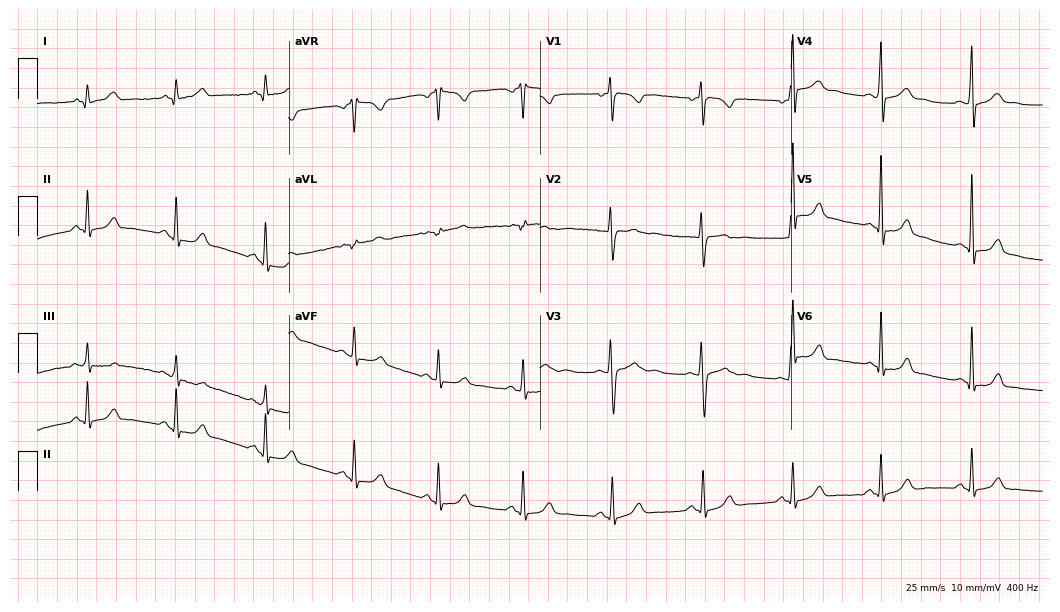
ECG — a woman, 23 years old. Screened for six findings — first-degree AV block, right bundle branch block, left bundle branch block, sinus bradycardia, atrial fibrillation, sinus tachycardia — none is recorded. Only these six findings were labelled.